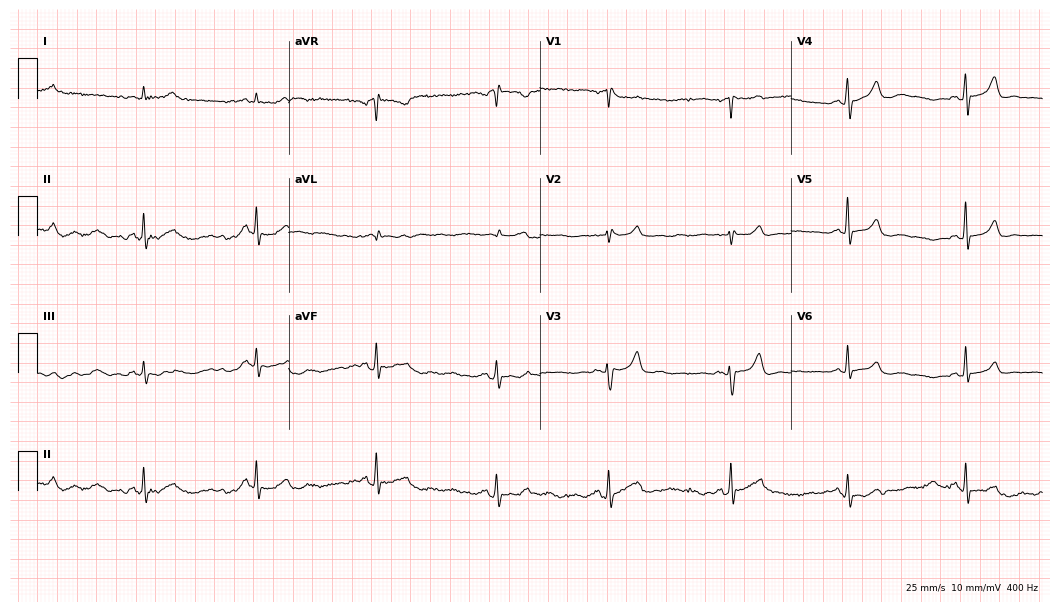
ECG (10.2-second recording at 400 Hz) — a female patient, 71 years old. Labelled as a normal ECG.